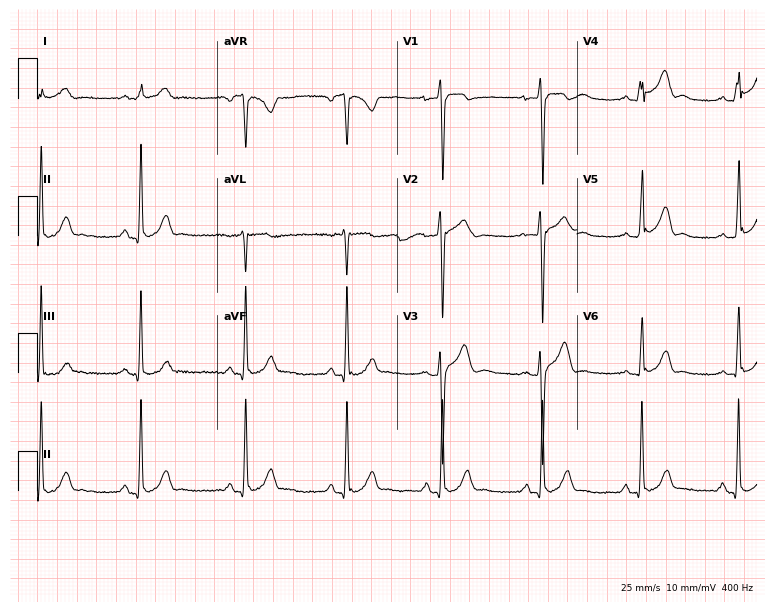
12-lead ECG from a female, 24 years old. Recorded interpretation: within normal limits.